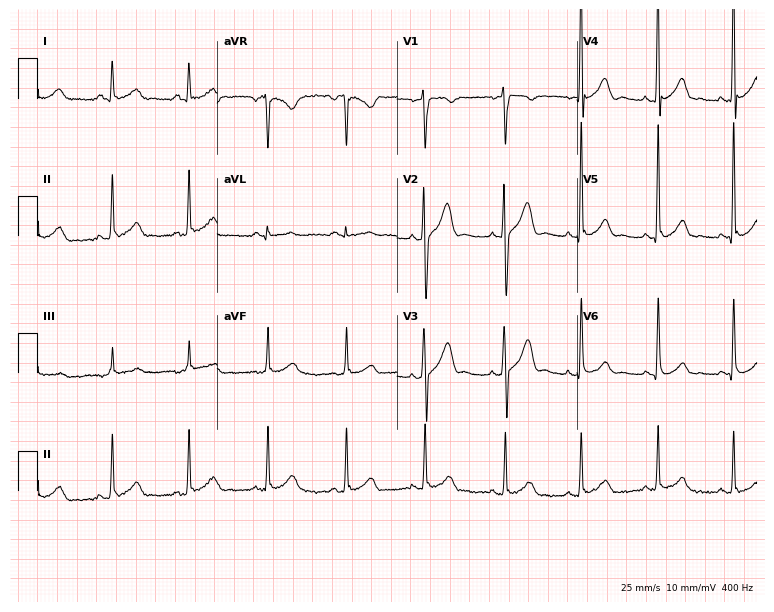
12-lead ECG from a man, 40 years old. Labelled as a normal ECG.